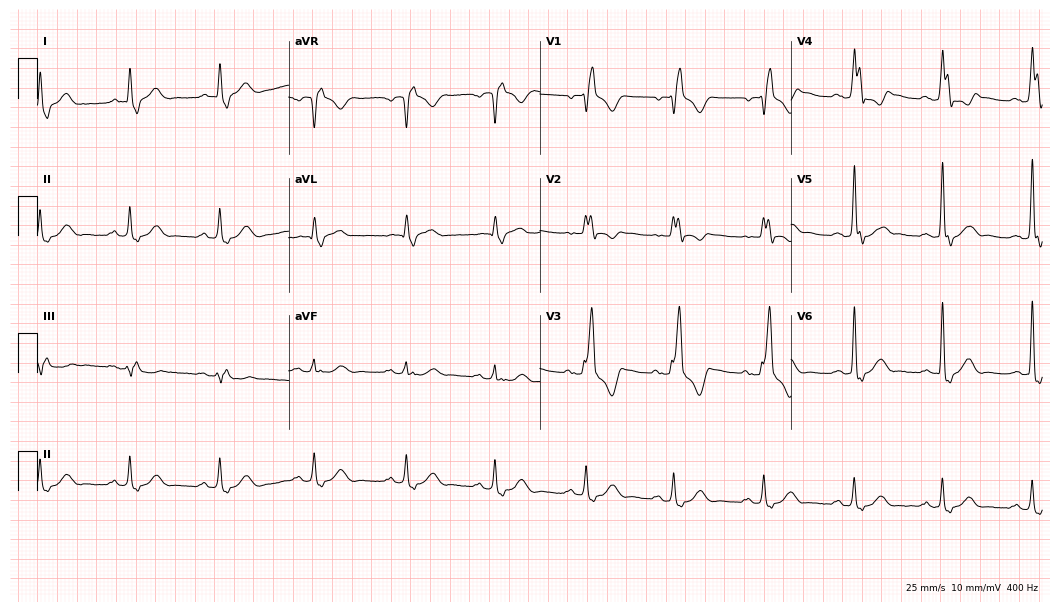
ECG — a man, 61 years old. Findings include right bundle branch block.